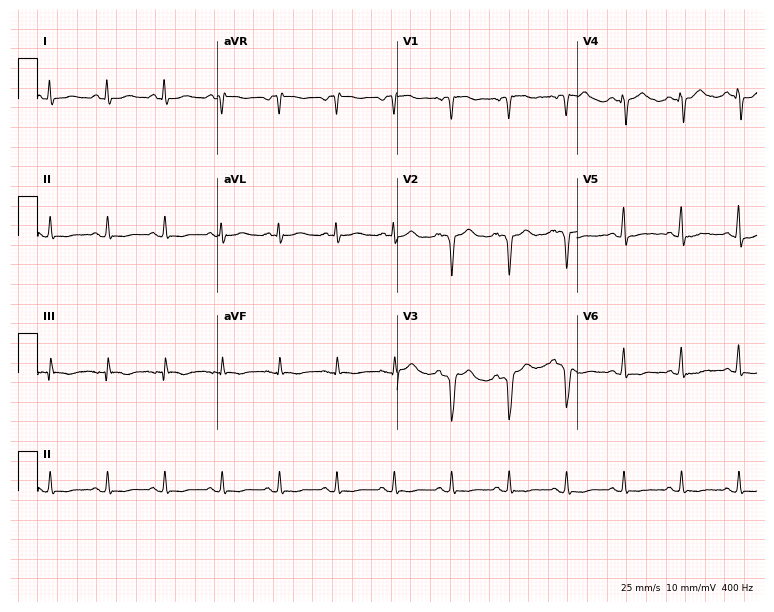
Resting 12-lead electrocardiogram (7.3-second recording at 400 Hz). Patient: a 75-year-old female. None of these six findings is recorded: first-degree AV block, right bundle branch block, left bundle branch block, sinus bradycardia, atrial fibrillation, sinus tachycardia.